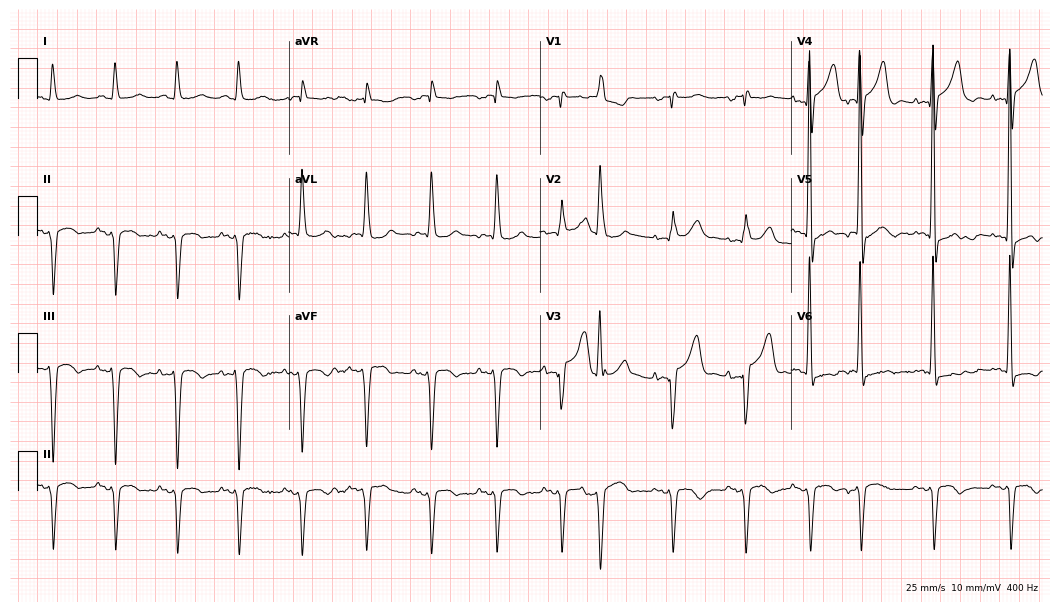
12-lead ECG from a 72-year-old male patient. No first-degree AV block, right bundle branch block (RBBB), left bundle branch block (LBBB), sinus bradycardia, atrial fibrillation (AF) or sinus tachycardia recorded for this tracing. Findings outside these six are not listed.